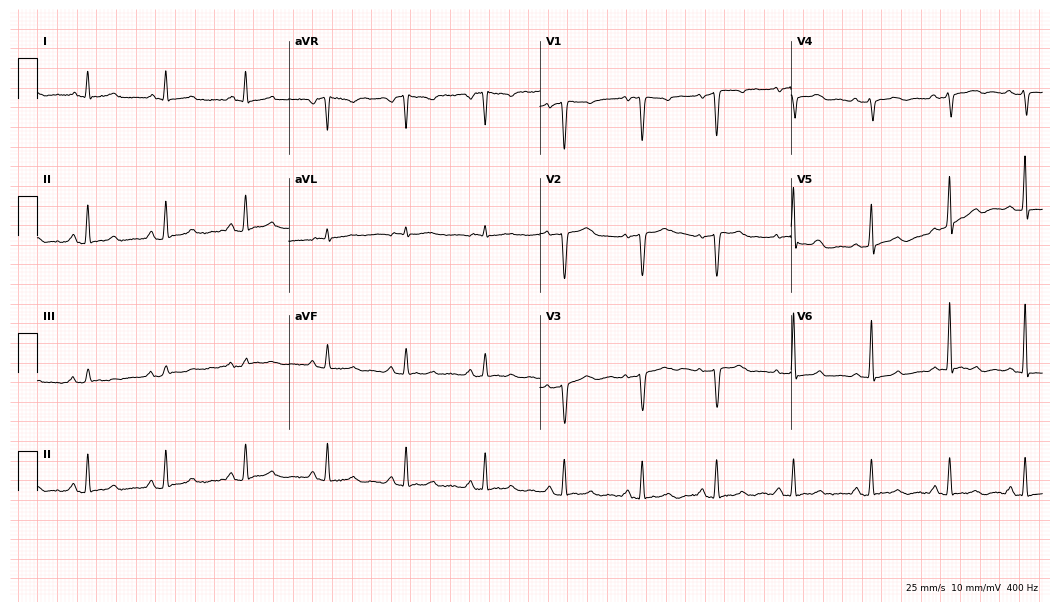
ECG — a female, 47 years old. Screened for six findings — first-degree AV block, right bundle branch block, left bundle branch block, sinus bradycardia, atrial fibrillation, sinus tachycardia — none is recorded. Other findings, if any, are not listed.